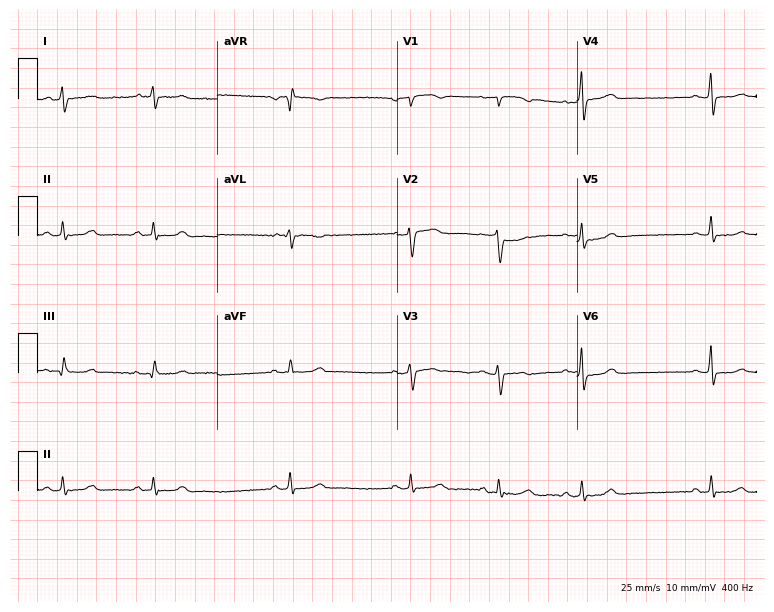
ECG — a 38-year-old woman. Screened for six findings — first-degree AV block, right bundle branch block (RBBB), left bundle branch block (LBBB), sinus bradycardia, atrial fibrillation (AF), sinus tachycardia — none is recorded. Other findings, if any, are not listed.